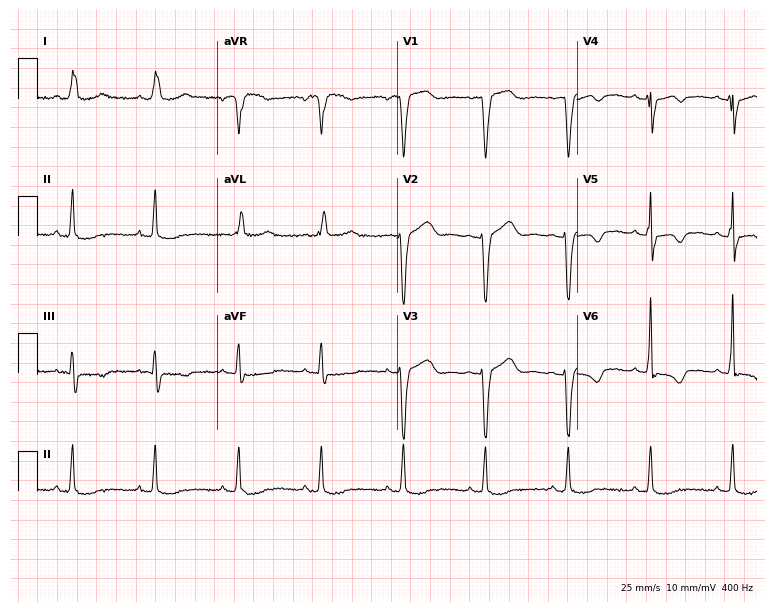
Electrocardiogram (7.3-second recording at 400 Hz), a woman, 72 years old. Of the six screened findings (first-degree AV block, right bundle branch block (RBBB), left bundle branch block (LBBB), sinus bradycardia, atrial fibrillation (AF), sinus tachycardia), none is recorded.